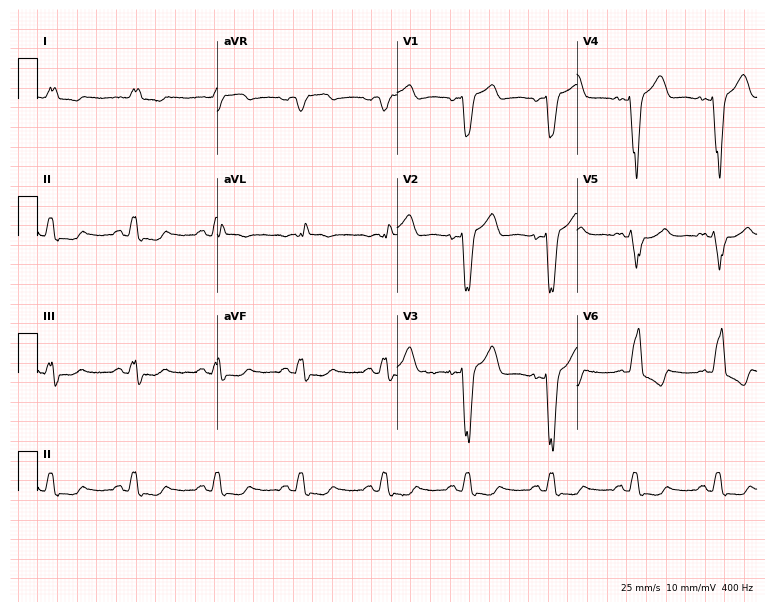
12-lead ECG from a man, 85 years old. Shows left bundle branch block.